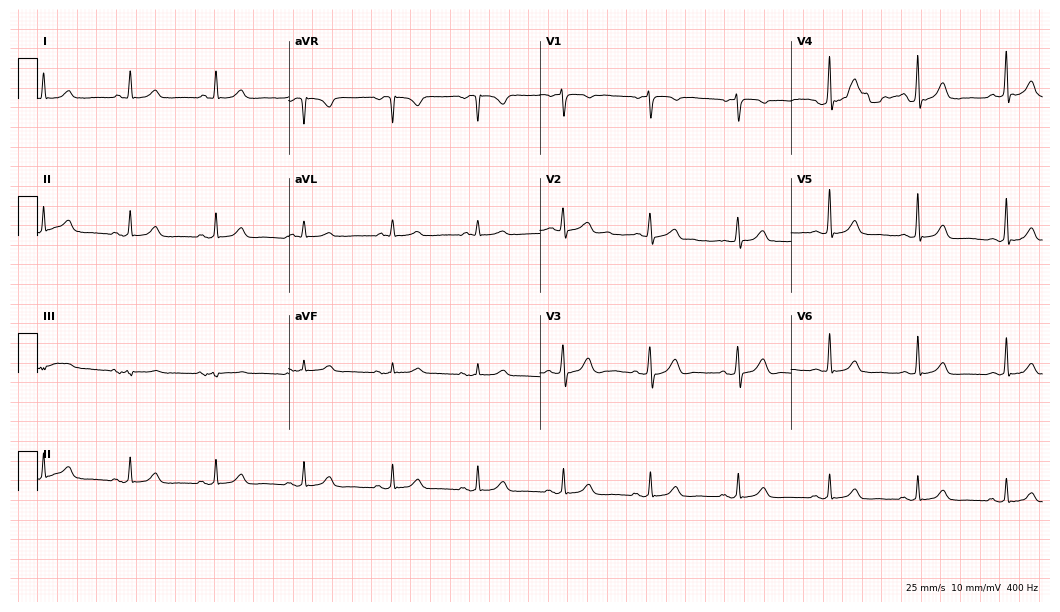
Electrocardiogram (10.2-second recording at 400 Hz), a 72-year-old male. Overall reading on record: normal ECG.